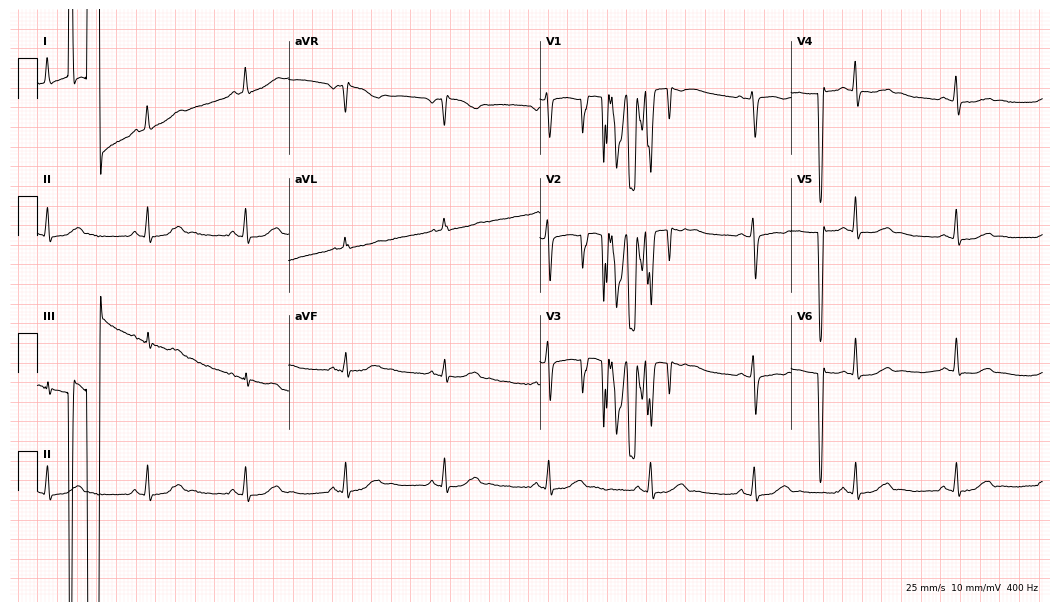
Electrocardiogram, a 41-year-old female patient. Of the six screened findings (first-degree AV block, right bundle branch block, left bundle branch block, sinus bradycardia, atrial fibrillation, sinus tachycardia), none is recorded.